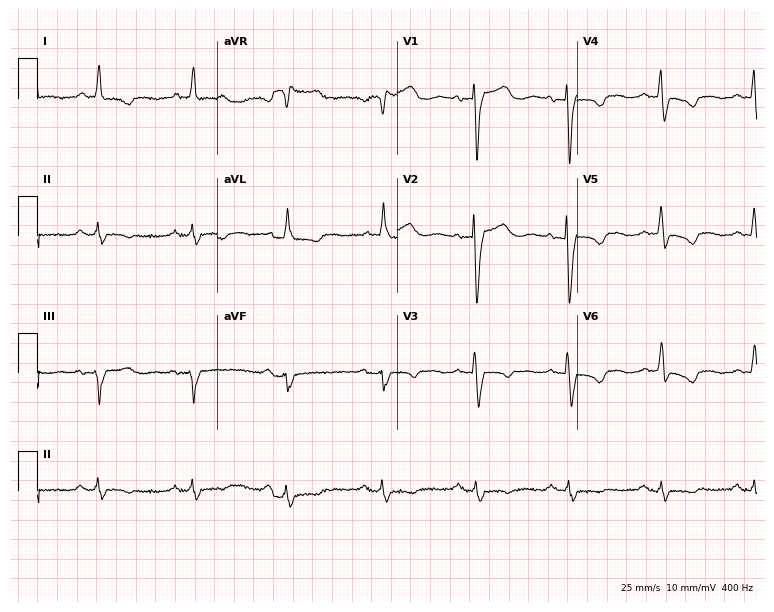
Electrocardiogram, a woman, 80 years old. Of the six screened findings (first-degree AV block, right bundle branch block (RBBB), left bundle branch block (LBBB), sinus bradycardia, atrial fibrillation (AF), sinus tachycardia), none is recorded.